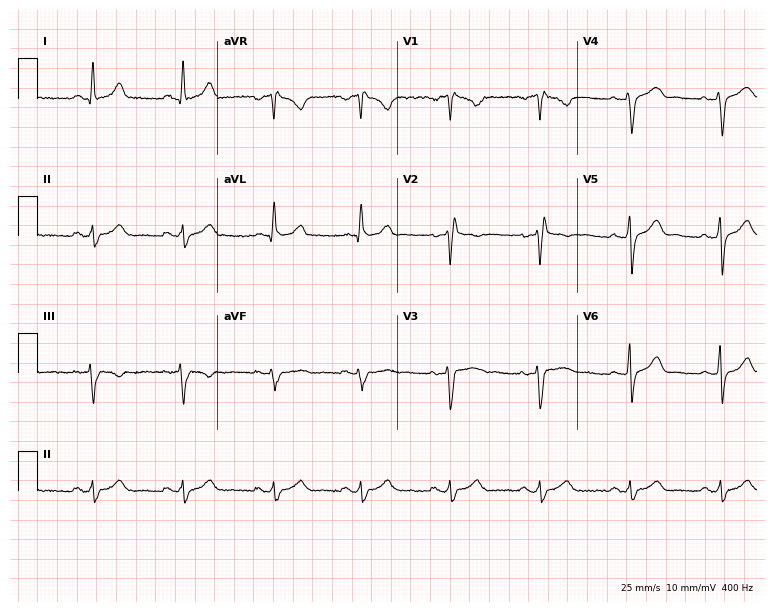
Resting 12-lead electrocardiogram (7.3-second recording at 400 Hz). Patient: a man, 46 years old. None of these six findings is recorded: first-degree AV block, right bundle branch block, left bundle branch block, sinus bradycardia, atrial fibrillation, sinus tachycardia.